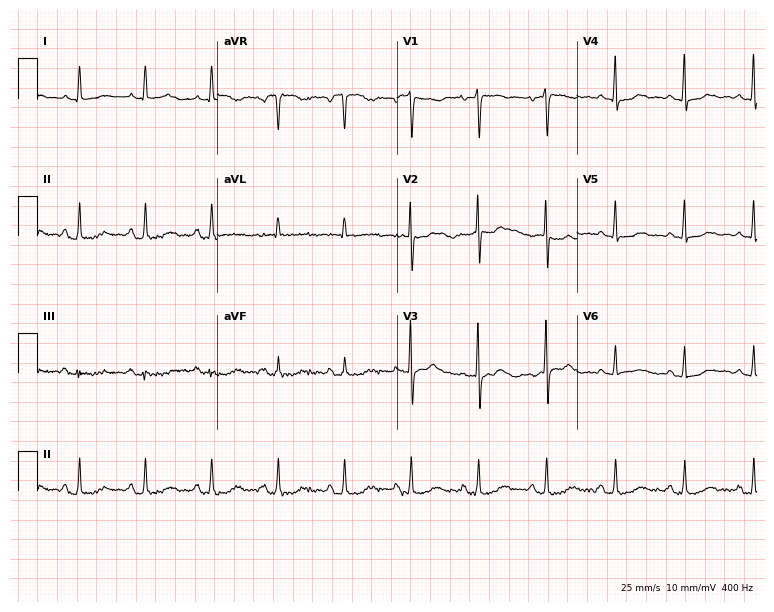
Standard 12-lead ECG recorded from a 69-year-old female (7.3-second recording at 400 Hz). None of these six findings is recorded: first-degree AV block, right bundle branch block (RBBB), left bundle branch block (LBBB), sinus bradycardia, atrial fibrillation (AF), sinus tachycardia.